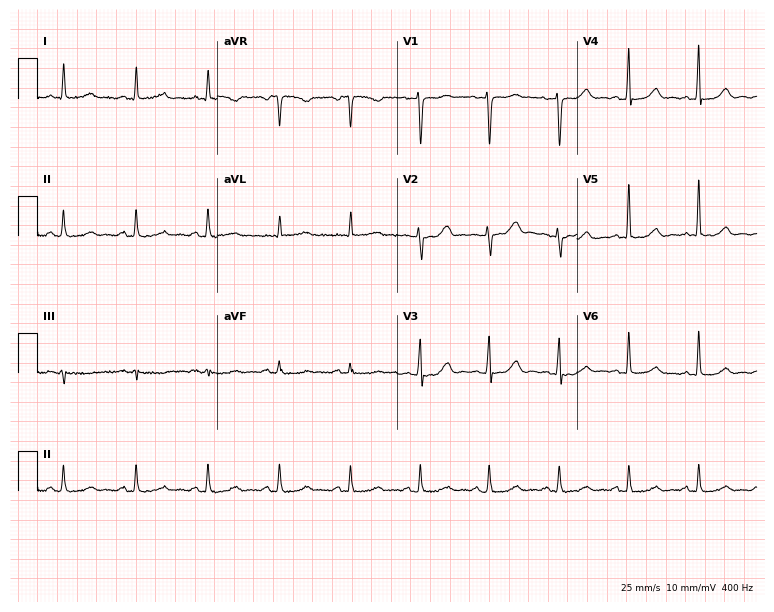
ECG — a female, 40 years old. Screened for six findings — first-degree AV block, right bundle branch block (RBBB), left bundle branch block (LBBB), sinus bradycardia, atrial fibrillation (AF), sinus tachycardia — none is recorded.